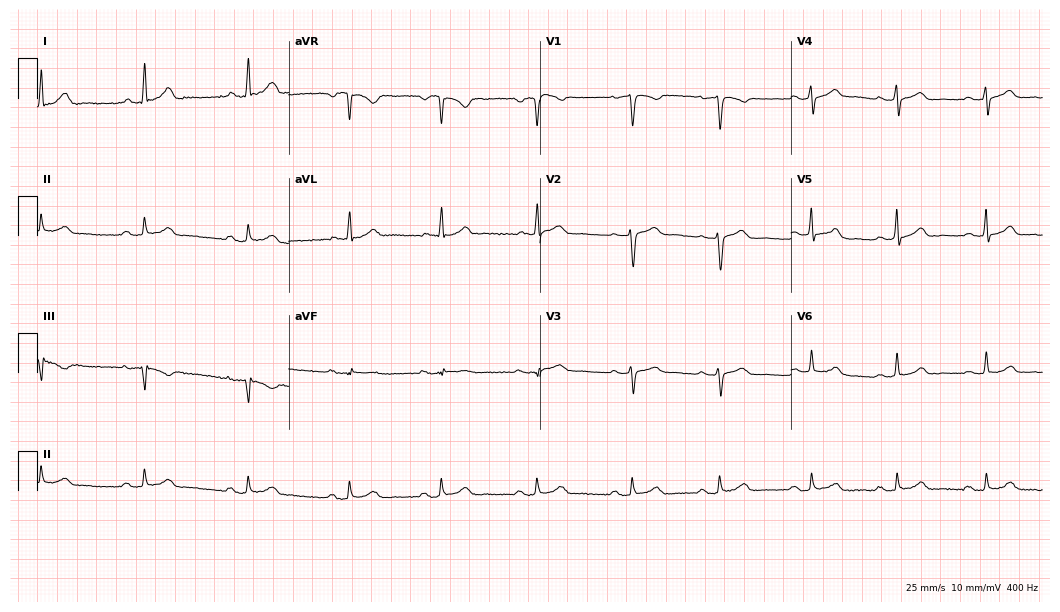
ECG (10.2-second recording at 400 Hz) — a woman, 40 years old. Labelled as a normal ECG.